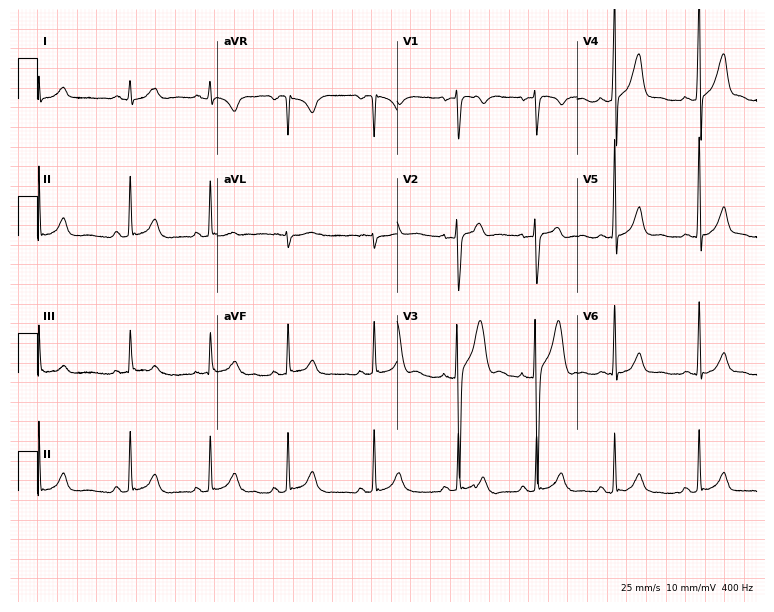
Resting 12-lead electrocardiogram (7.3-second recording at 400 Hz). Patient: a male, 23 years old. Read as a normal ECG.